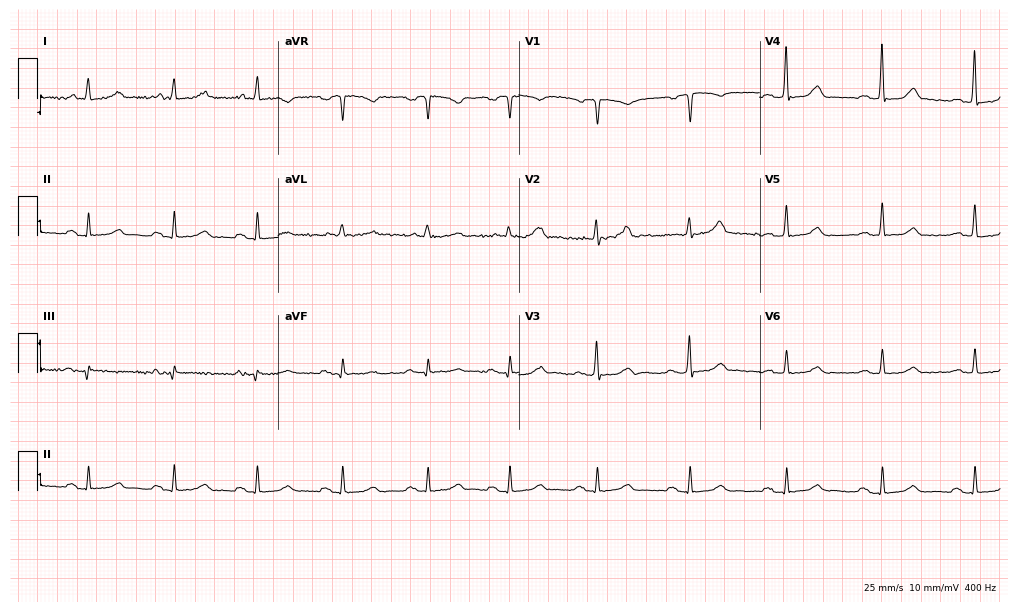
12-lead ECG (9.8-second recording at 400 Hz) from a woman, 56 years old. Labelled as a normal ECG.